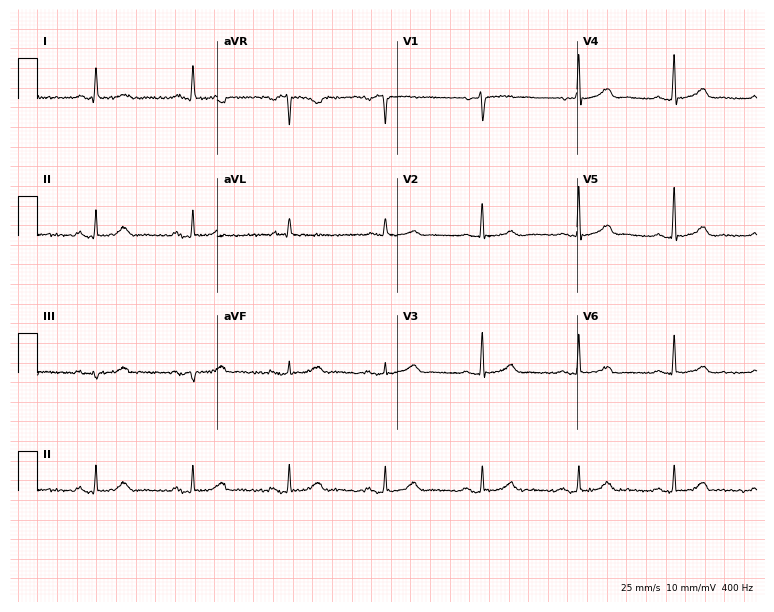
12-lead ECG from a man, 77 years old (7.3-second recording at 400 Hz). Recorded interpretation: within normal limits.